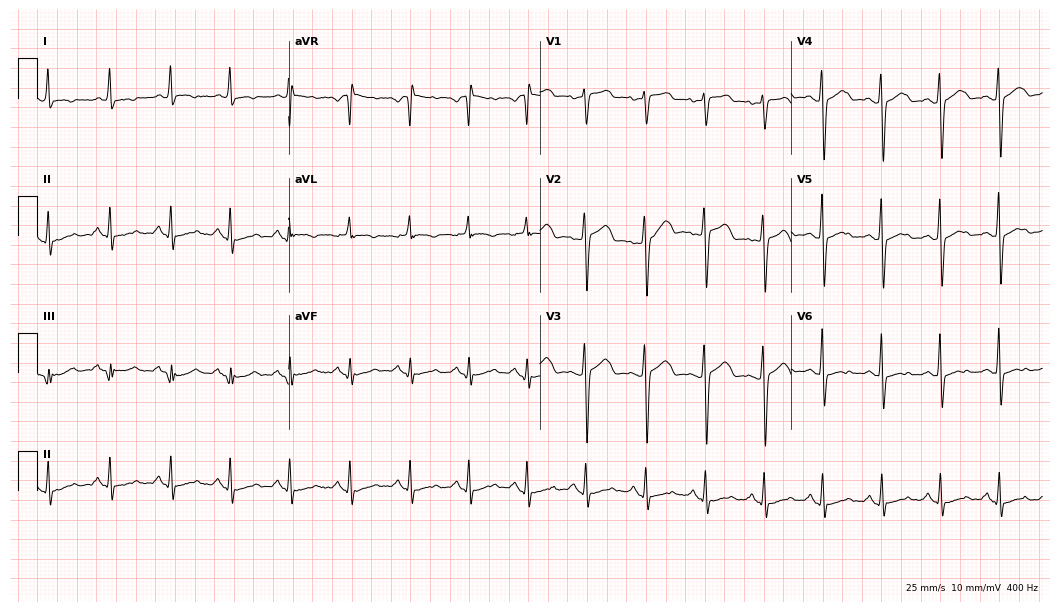
ECG — a woman, 74 years old. Labelled as a normal ECG.